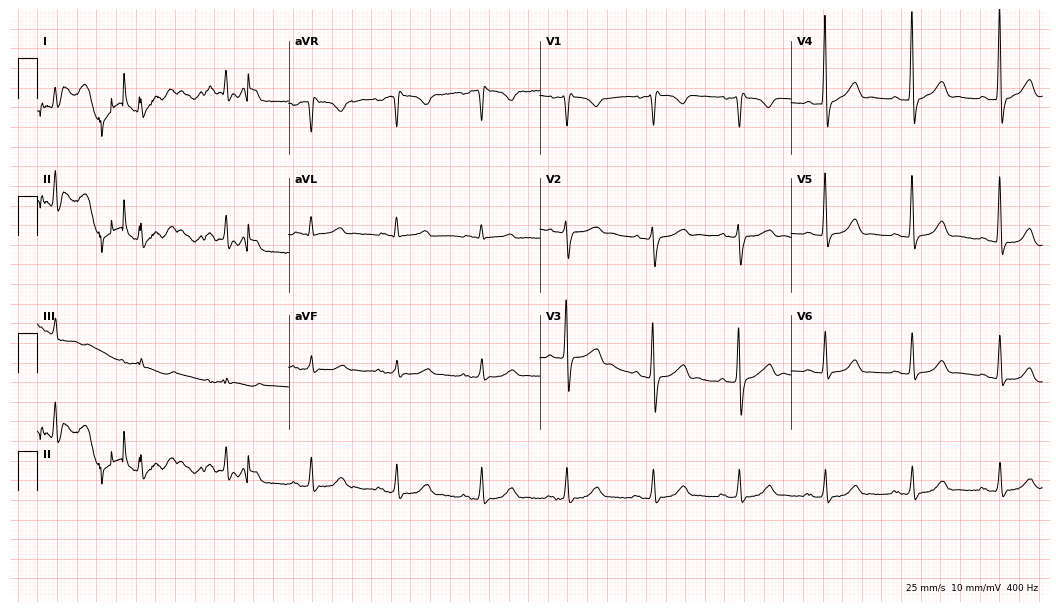
ECG (10.2-second recording at 400 Hz) — a 57-year-old male. Screened for six findings — first-degree AV block, right bundle branch block, left bundle branch block, sinus bradycardia, atrial fibrillation, sinus tachycardia — none is recorded. Other findings, if any, are not listed.